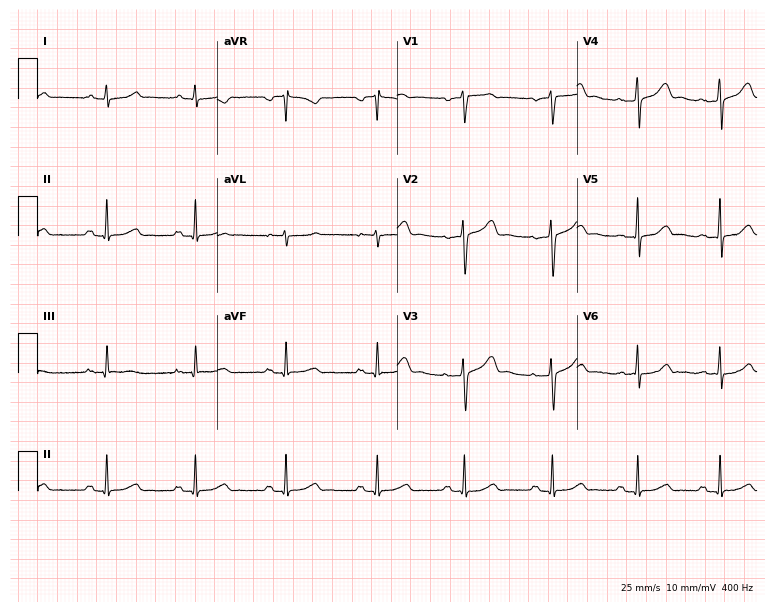
12-lead ECG from a female patient, 47 years old (7.3-second recording at 400 Hz). Recorded interpretation: within normal limits.